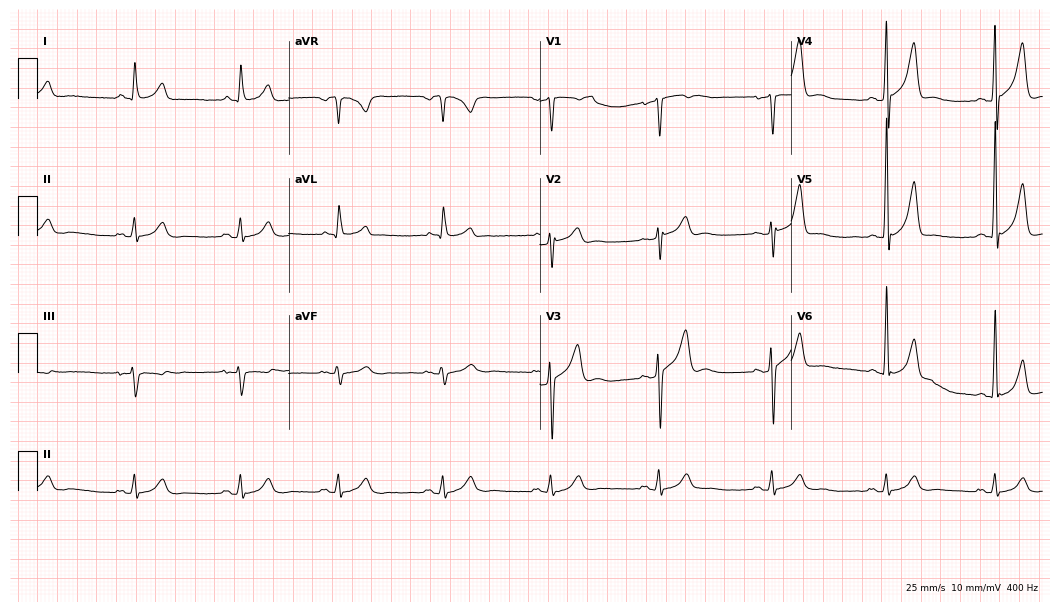
Resting 12-lead electrocardiogram. Patient: a 50-year-old male. None of these six findings is recorded: first-degree AV block, right bundle branch block (RBBB), left bundle branch block (LBBB), sinus bradycardia, atrial fibrillation (AF), sinus tachycardia.